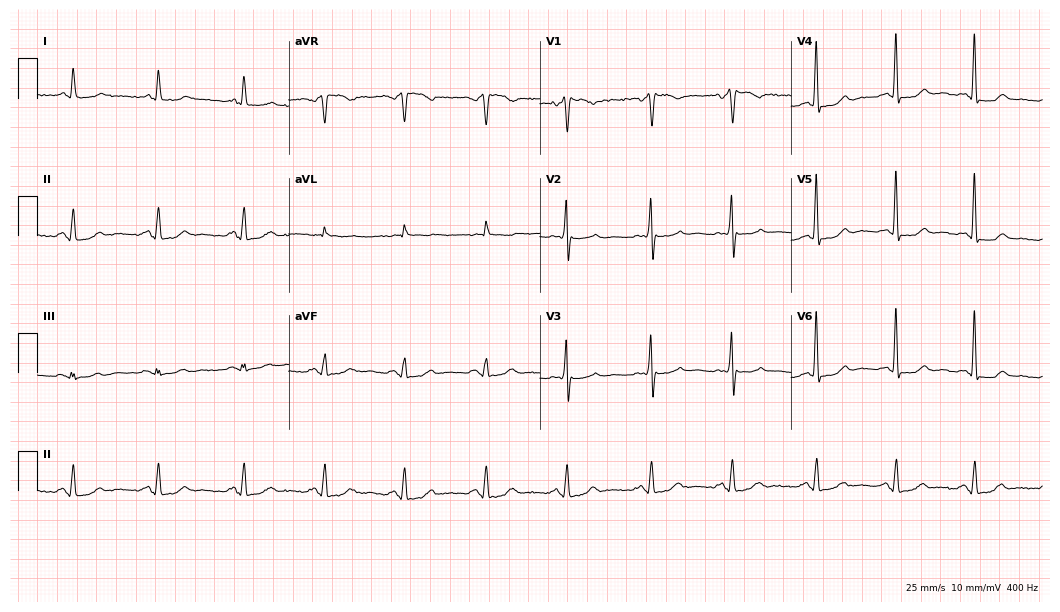
12-lead ECG from a 69-year-old male patient. Recorded interpretation: within normal limits.